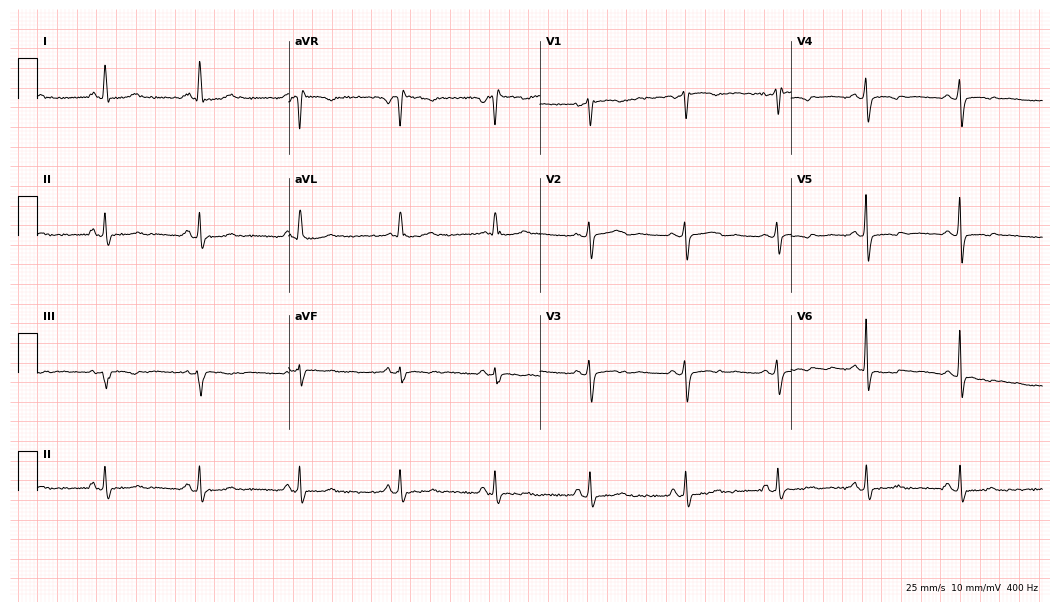
Resting 12-lead electrocardiogram (10.2-second recording at 400 Hz). Patient: a female, 47 years old. None of these six findings is recorded: first-degree AV block, right bundle branch block, left bundle branch block, sinus bradycardia, atrial fibrillation, sinus tachycardia.